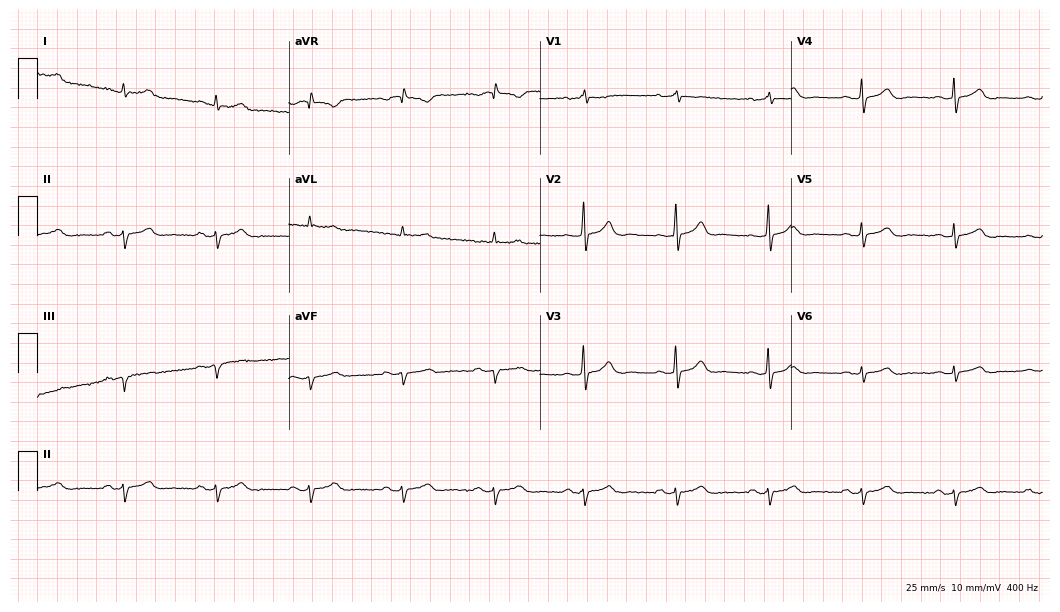
Electrocardiogram, a male, 72 years old. Of the six screened findings (first-degree AV block, right bundle branch block, left bundle branch block, sinus bradycardia, atrial fibrillation, sinus tachycardia), none is recorded. Only these six findings were labelled.